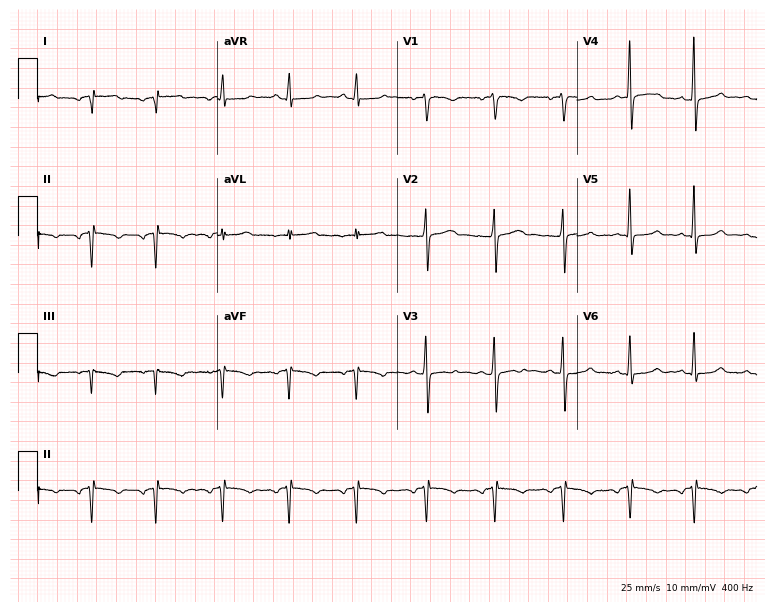
12-lead ECG from a woman, 34 years old. Screened for six findings — first-degree AV block, right bundle branch block (RBBB), left bundle branch block (LBBB), sinus bradycardia, atrial fibrillation (AF), sinus tachycardia — none is recorded. Other findings, if any, are not listed.